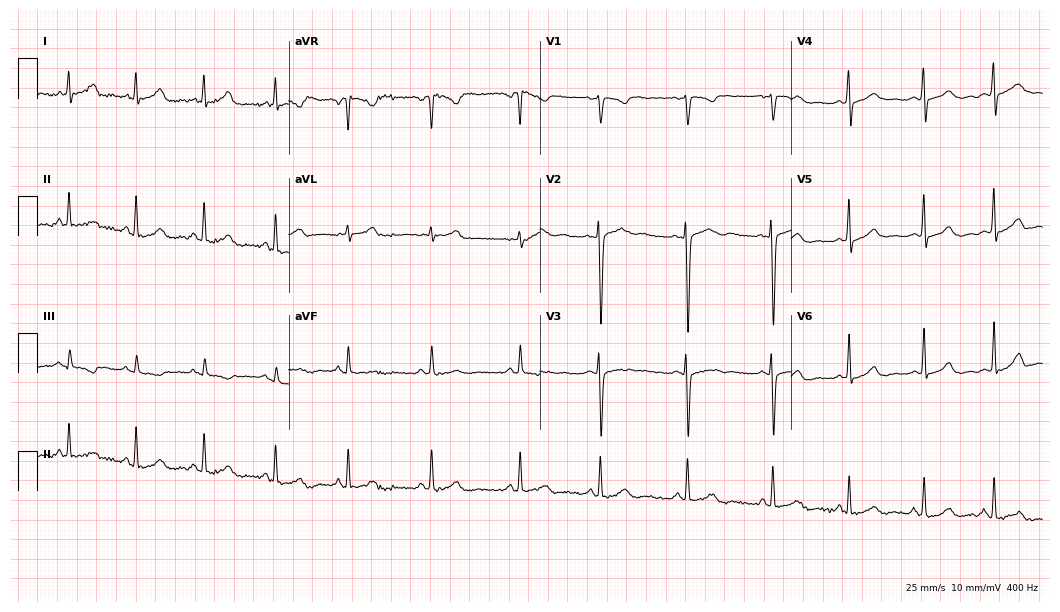
Resting 12-lead electrocardiogram (10.2-second recording at 400 Hz). Patient: a female, 25 years old. Read as a normal ECG.